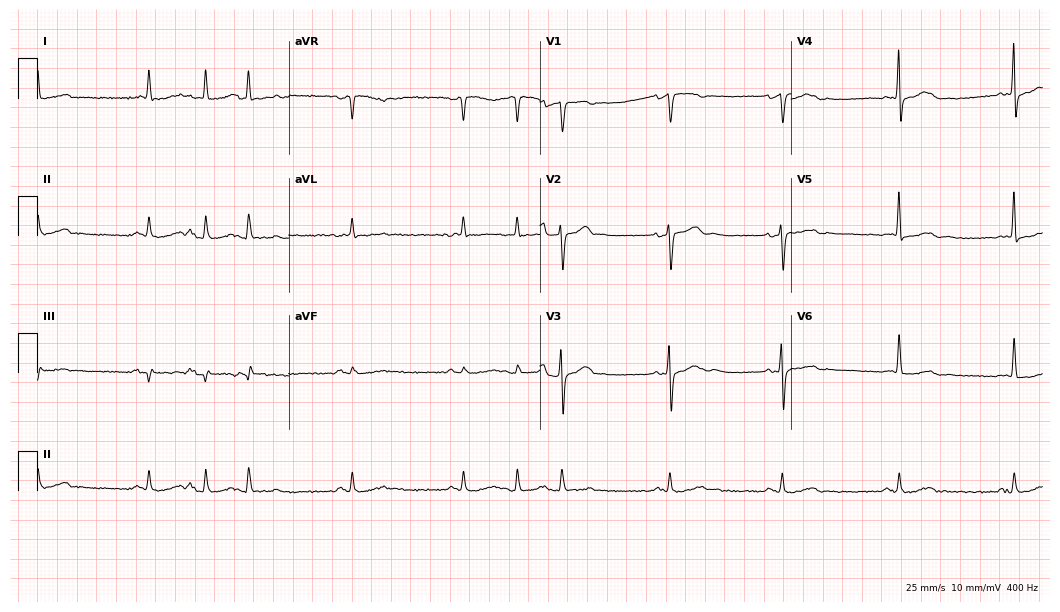
ECG — a female, 75 years old. Screened for six findings — first-degree AV block, right bundle branch block, left bundle branch block, sinus bradycardia, atrial fibrillation, sinus tachycardia — none is recorded.